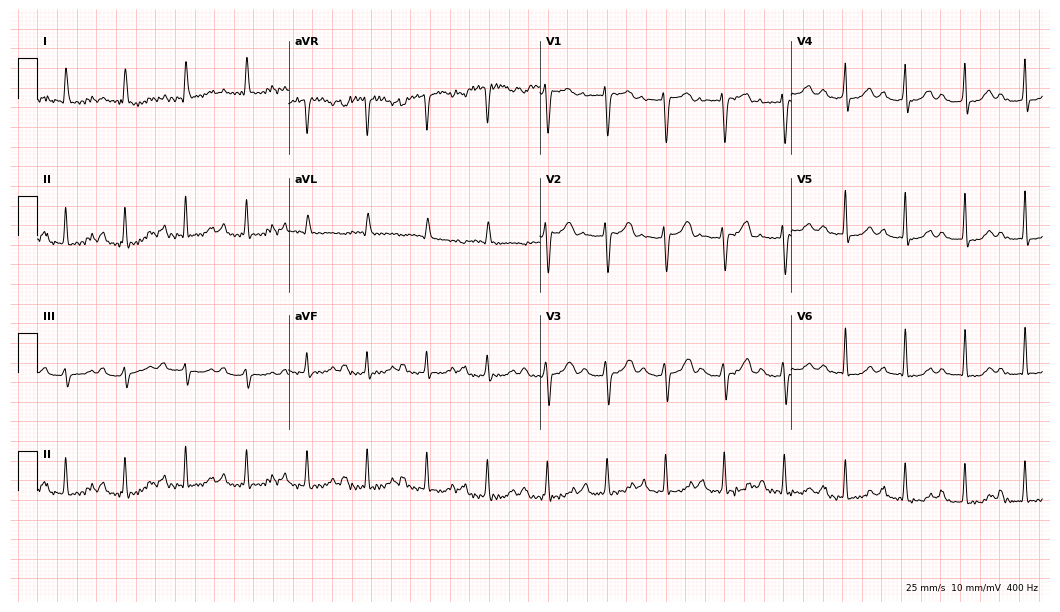
12-lead ECG from a female, 68 years old. Screened for six findings — first-degree AV block, right bundle branch block, left bundle branch block, sinus bradycardia, atrial fibrillation, sinus tachycardia — none is recorded. Findings outside these six are not listed.